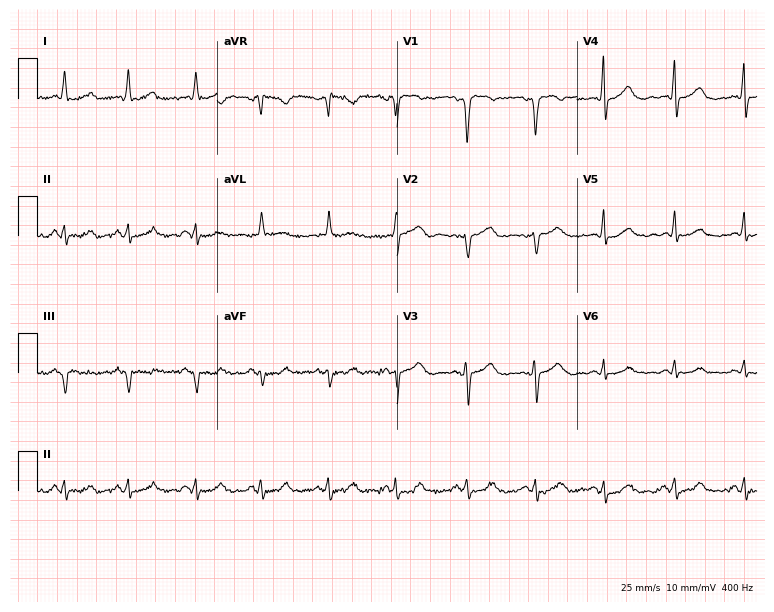
Electrocardiogram (7.3-second recording at 400 Hz), a female patient, 72 years old. Of the six screened findings (first-degree AV block, right bundle branch block, left bundle branch block, sinus bradycardia, atrial fibrillation, sinus tachycardia), none is recorded. Other findings, if any, are not listed.